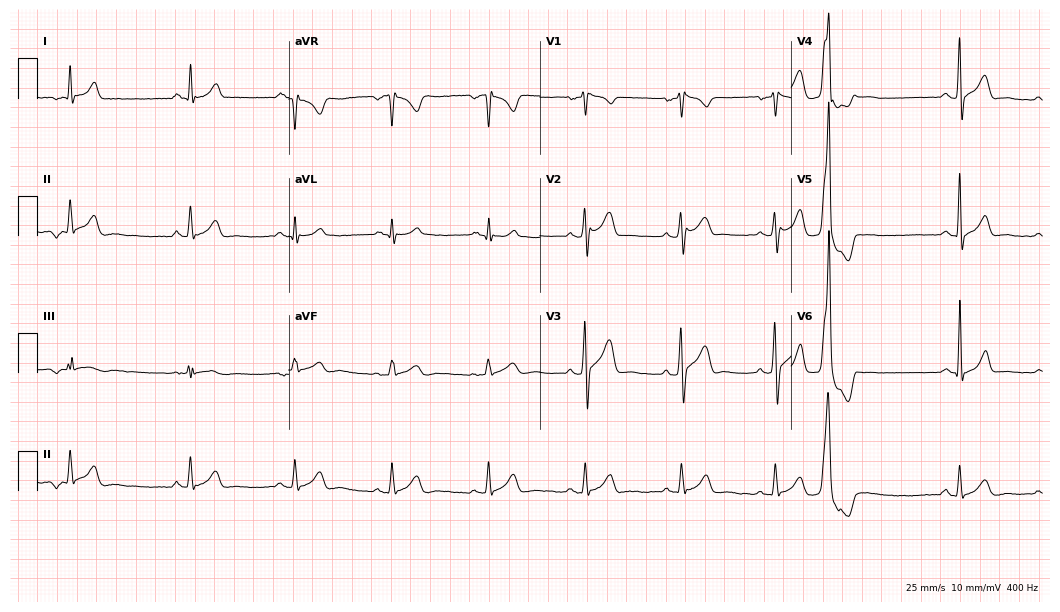
ECG — a 51-year-old man. Screened for six findings — first-degree AV block, right bundle branch block, left bundle branch block, sinus bradycardia, atrial fibrillation, sinus tachycardia — none is recorded.